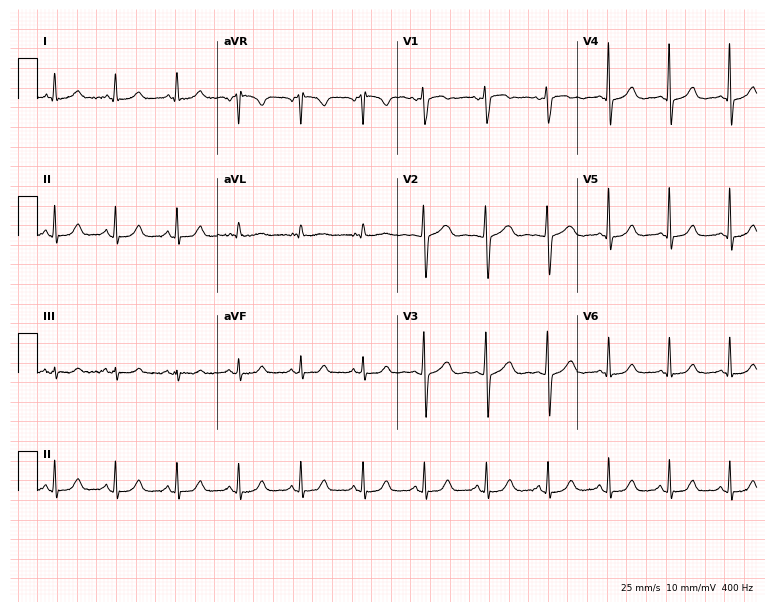
Resting 12-lead electrocardiogram. Patient: a female, 51 years old. Read as a normal ECG.